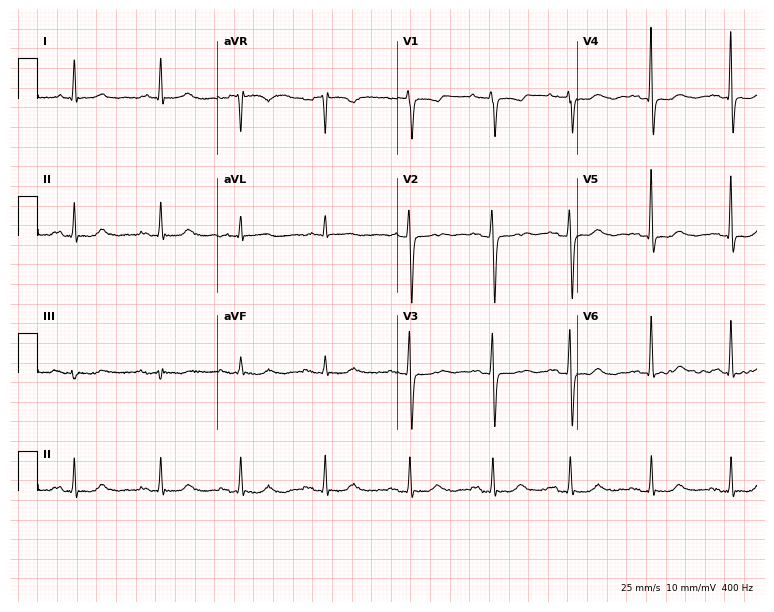
Resting 12-lead electrocardiogram (7.3-second recording at 400 Hz). Patient: an 82-year-old female. Read as a normal ECG.